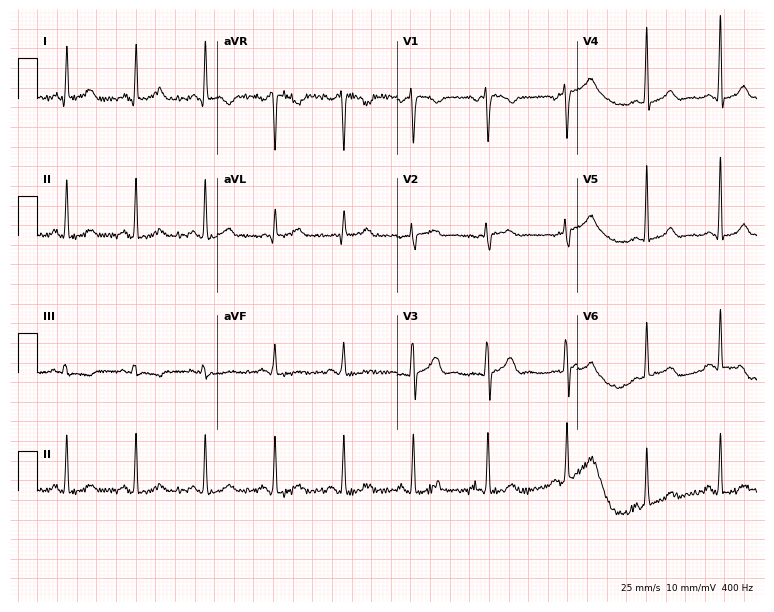
12-lead ECG from a woman, 28 years old. Labelled as a normal ECG.